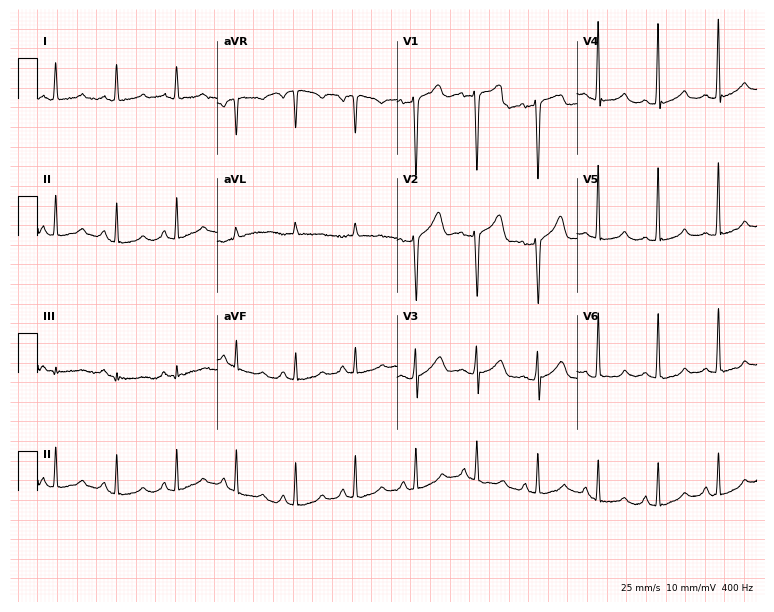
Standard 12-lead ECG recorded from a female, 54 years old (7.3-second recording at 400 Hz). Read as a normal ECG.